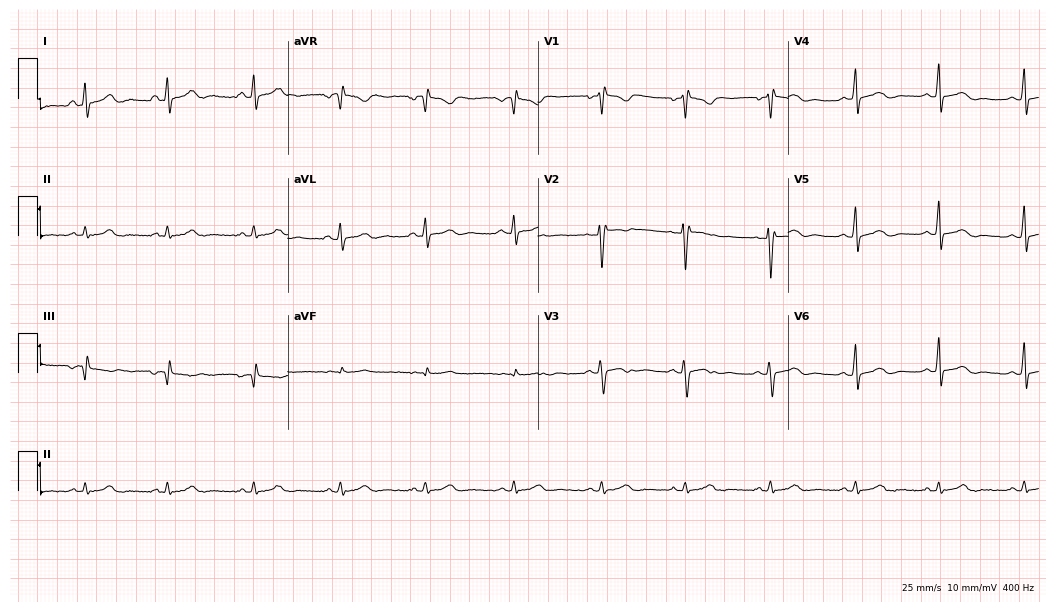
Standard 12-lead ECG recorded from a 27-year-old woman (10.2-second recording at 400 Hz). None of these six findings is recorded: first-degree AV block, right bundle branch block, left bundle branch block, sinus bradycardia, atrial fibrillation, sinus tachycardia.